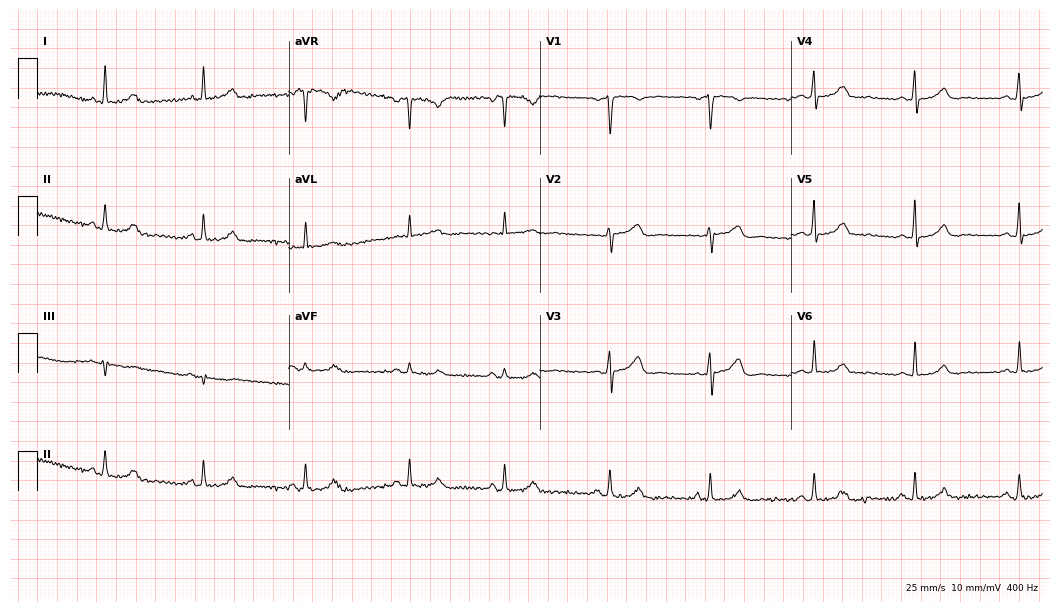
Electrocardiogram, a female patient, 42 years old. Of the six screened findings (first-degree AV block, right bundle branch block, left bundle branch block, sinus bradycardia, atrial fibrillation, sinus tachycardia), none is recorded.